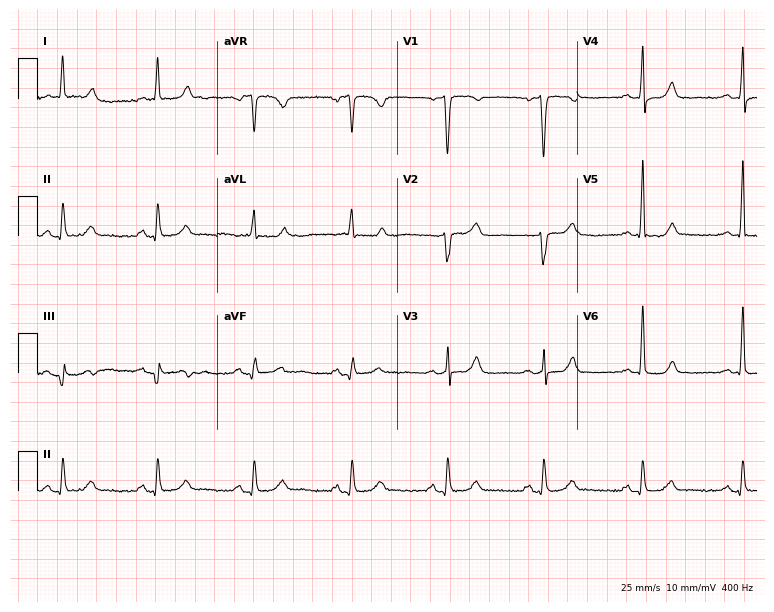
Electrocardiogram, a 67-year-old female patient. Of the six screened findings (first-degree AV block, right bundle branch block (RBBB), left bundle branch block (LBBB), sinus bradycardia, atrial fibrillation (AF), sinus tachycardia), none is recorded.